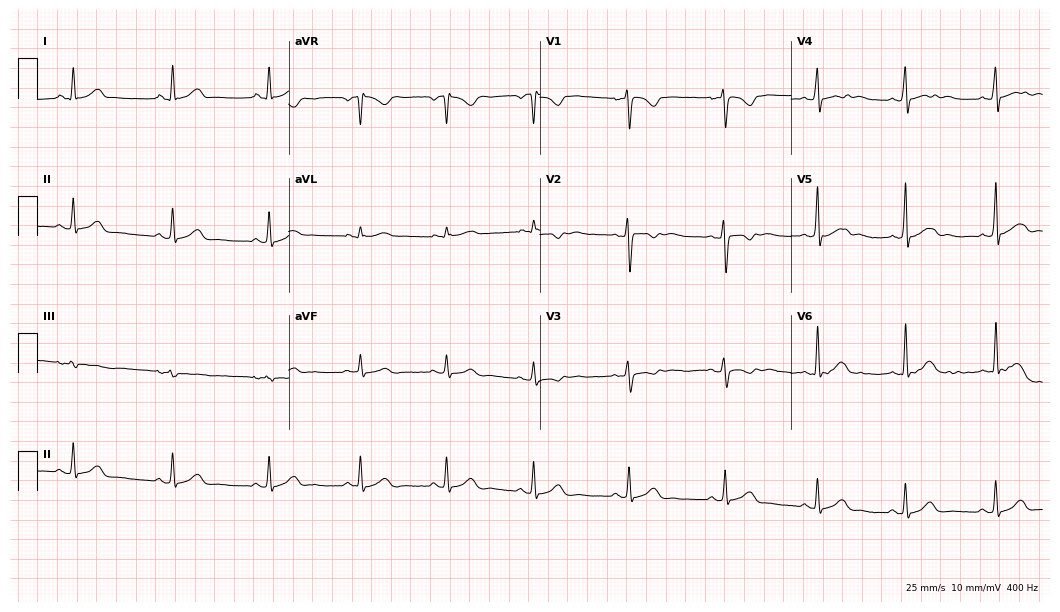
12-lead ECG from a 31-year-old female (10.2-second recording at 400 Hz). Recorded interpretation: within normal limits.